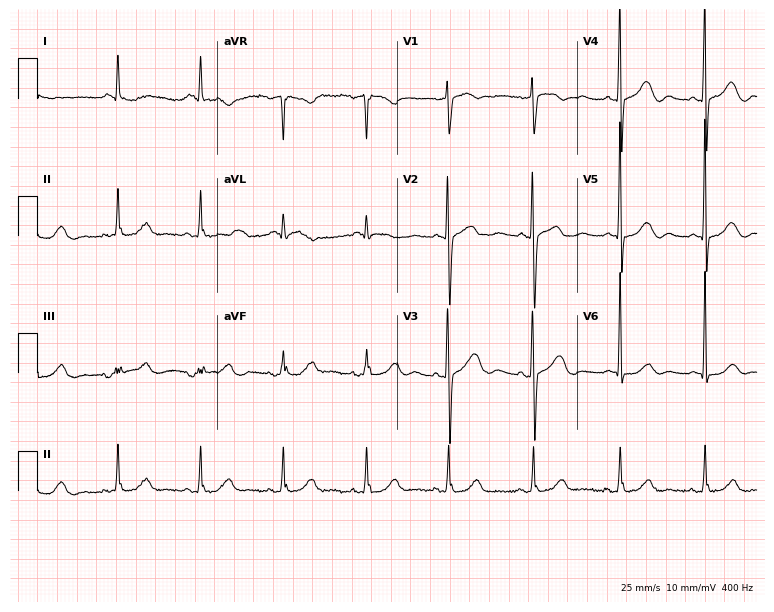
Electrocardiogram (7.3-second recording at 400 Hz), a female, 76 years old. Overall reading on record: normal ECG.